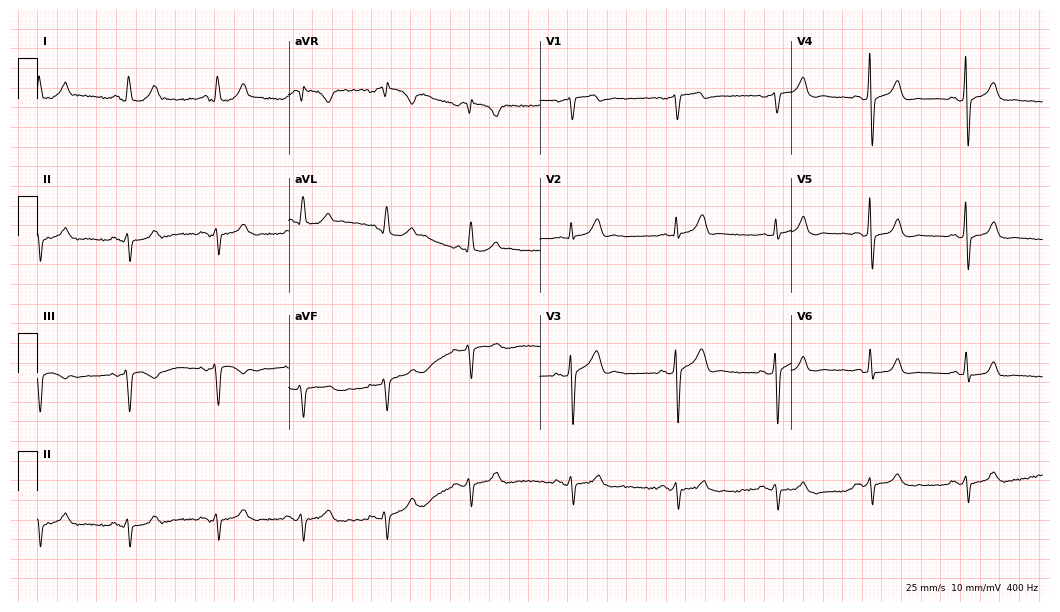
ECG — a male, 48 years old. Screened for six findings — first-degree AV block, right bundle branch block, left bundle branch block, sinus bradycardia, atrial fibrillation, sinus tachycardia — none is recorded. Findings outside these six are not listed.